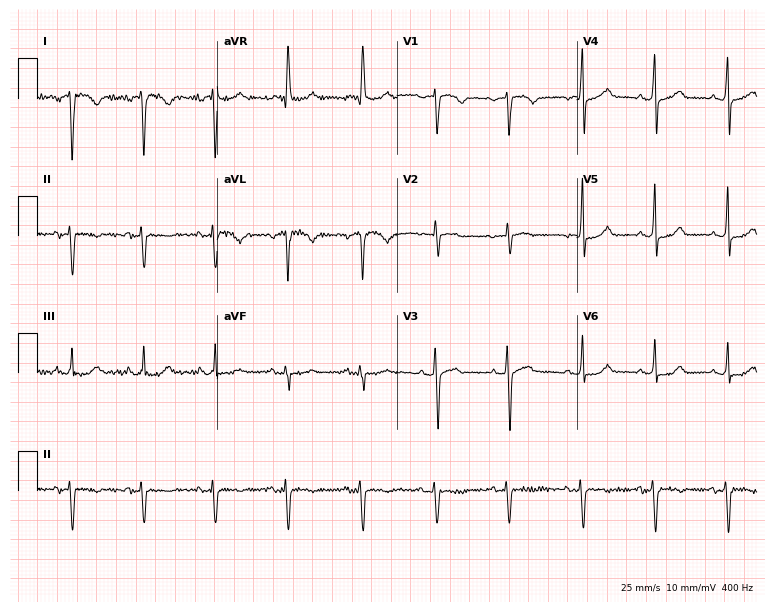
12-lead ECG from a female, 68 years old (7.3-second recording at 400 Hz). No first-degree AV block, right bundle branch block, left bundle branch block, sinus bradycardia, atrial fibrillation or sinus tachycardia recorded for this tracing.